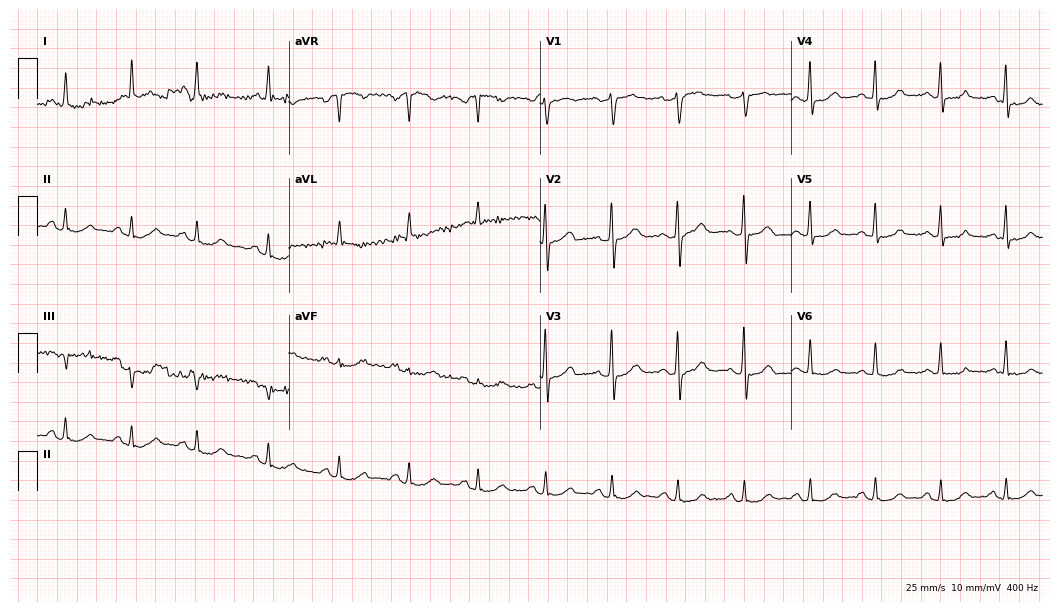
12-lead ECG from a 69-year-old woman (10.2-second recording at 400 Hz). No first-degree AV block, right bundle branch block, left bundle branch block, sinus bradycardia, atrial fibrillation or sinus tachycardia recorded for this tracing. Findings outside these six are not listed.